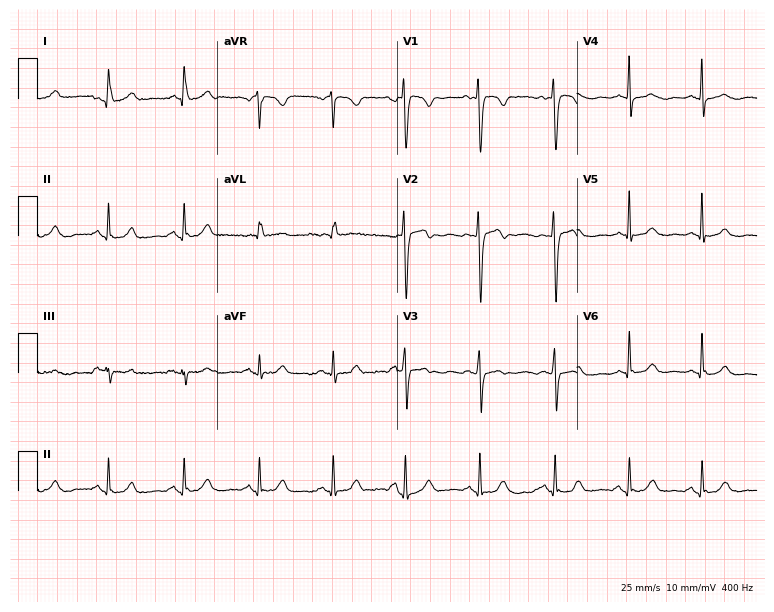
Standard 12-lead ECG recorded from a female, 56 years old (7.3-second recording at 400 Hz). None of these six findings is recorded: first-degree AV block, right bundle branch block, left bundle branch block, sinus bradycardia, atrial fibrillation, sinus tachycardia.